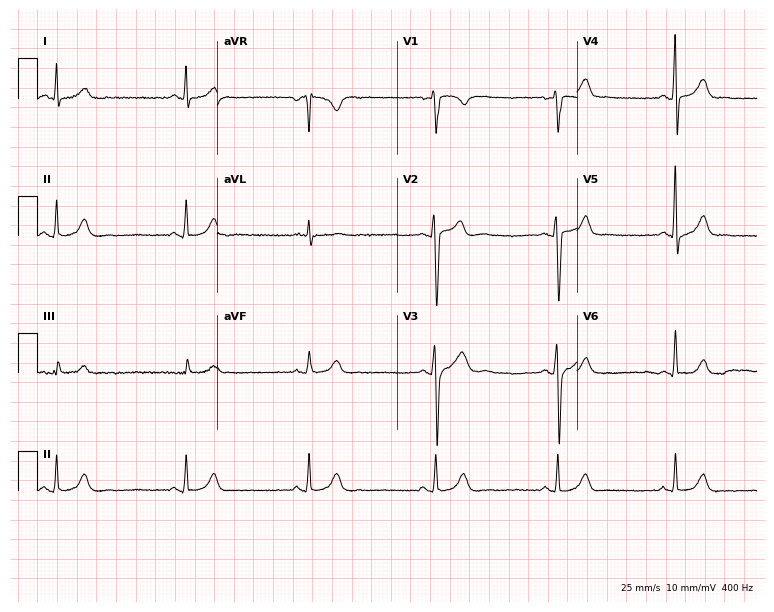
12-lead ECG from a 36-year-old male patient (7.3-second recording at 400 Hz). Shows sinus bradycardia (a sinus rate of 50 beats per minute or less).